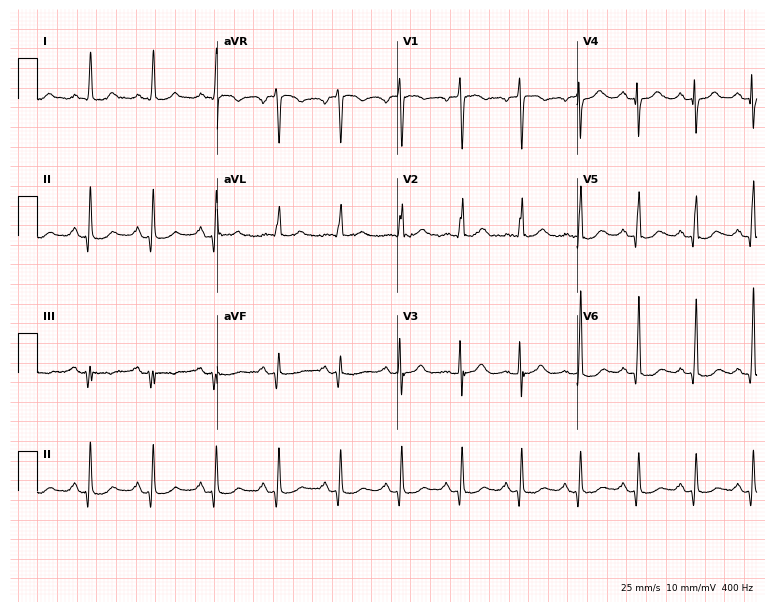
12-lead ECG from a 71-year-old female patient. Labelled as a normal ECG.